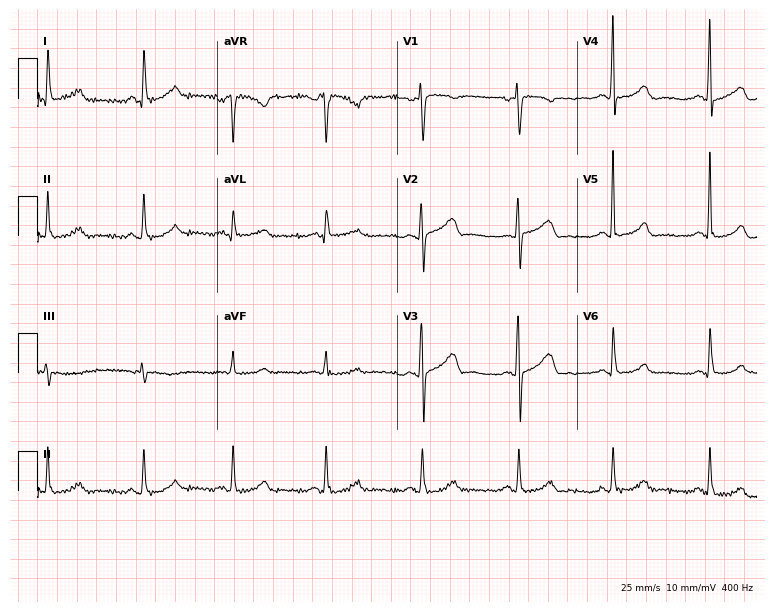
Electrocardiogram, a female, 44 years old. Overall reading on record: normal ECG.